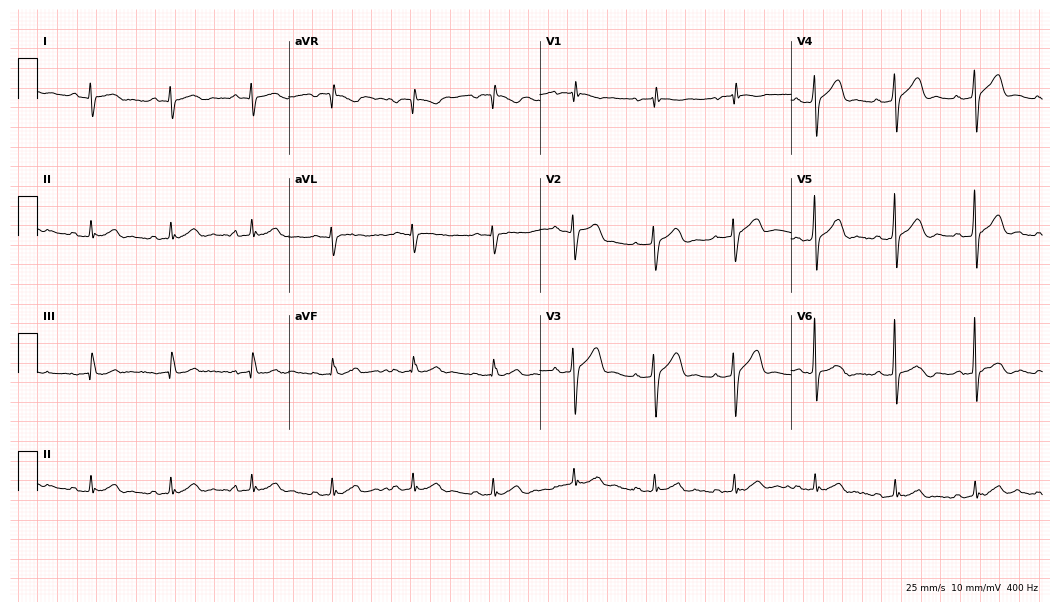
12-lead ECG from a 68-year-old male patient. Screened for six findings — first-degree AV block, right bundle branch block, left bundle branch block, sinus bradycardia, atrial fibrillation, sinus tachycardia — none is recorded.